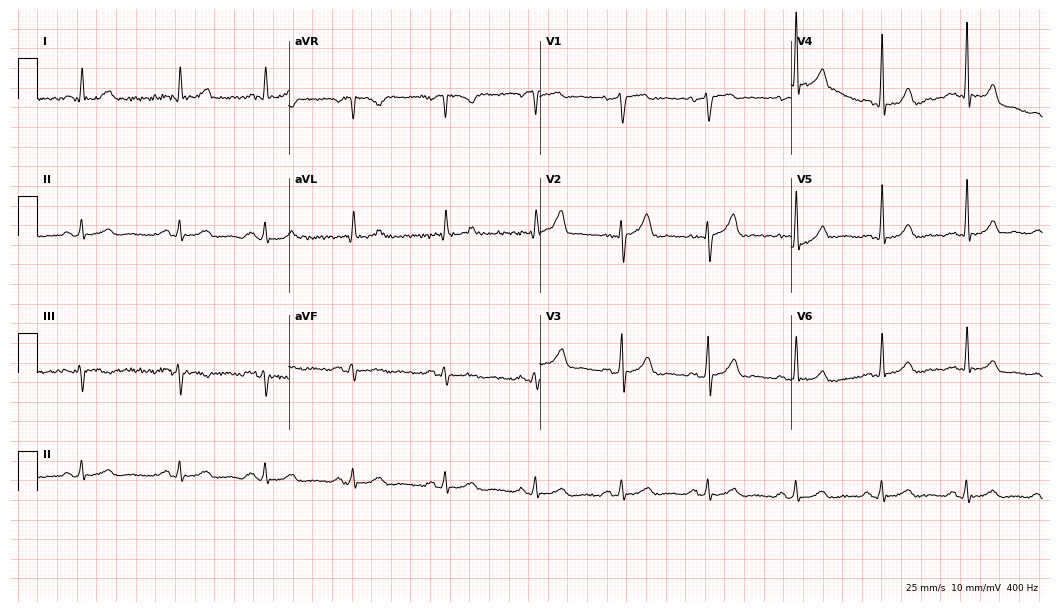
ECG — a 60-year-old male patient. Screened for six findings — first-degree AV block, right bundle branch block, left bundle branch block, sinus bradycardia, atrial fibrillation, sinus tachycardia — none is recorded. Only these six findings were labelled.